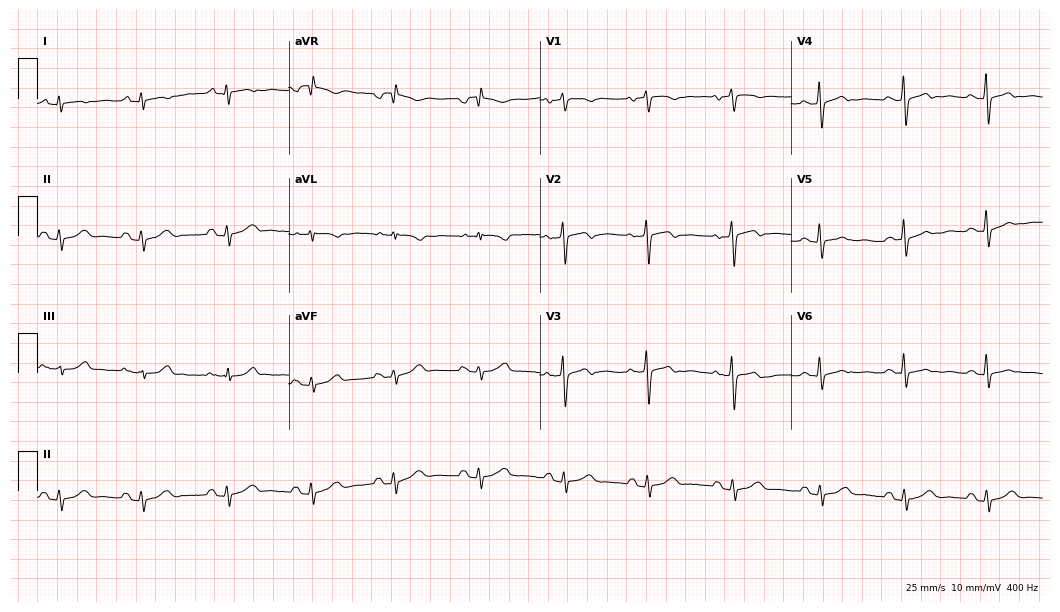
Standard 12-lead ECG recorded from a female patient, 54 years old. None of these six findings is recorded: first-degree AV block, right bundle branch block, left bundle branch block, sinus bradycardia, atrial fibrillation, sinus tachycardia. Findings outside these six are not listed.